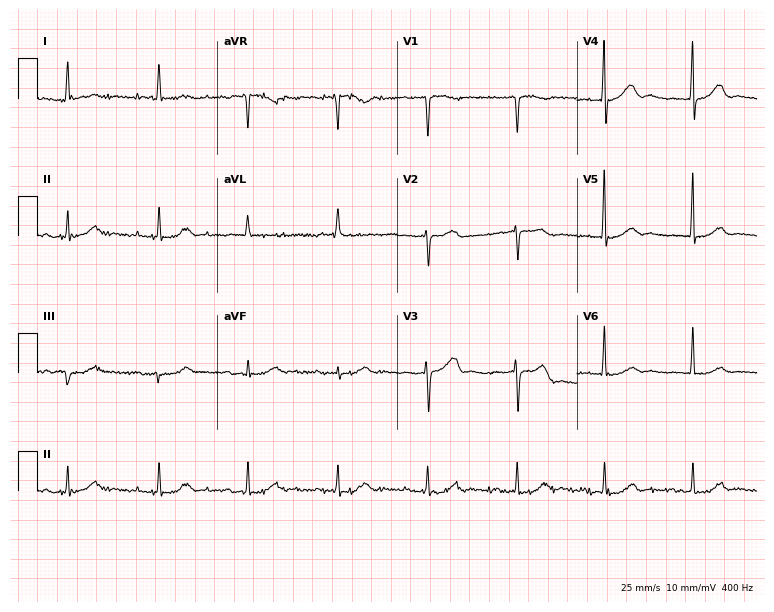
Resting 12-lead electrocardiogram (7.3-second recording at 400 Hz). Patient: a 76-year-old female. None of these six findings is recorded: first-degree AV block, right bundle branch block, left bundle branch block, sinus bradycardia, atrial fibrillation, sinus tachycardia. Only these six findings were labelled.